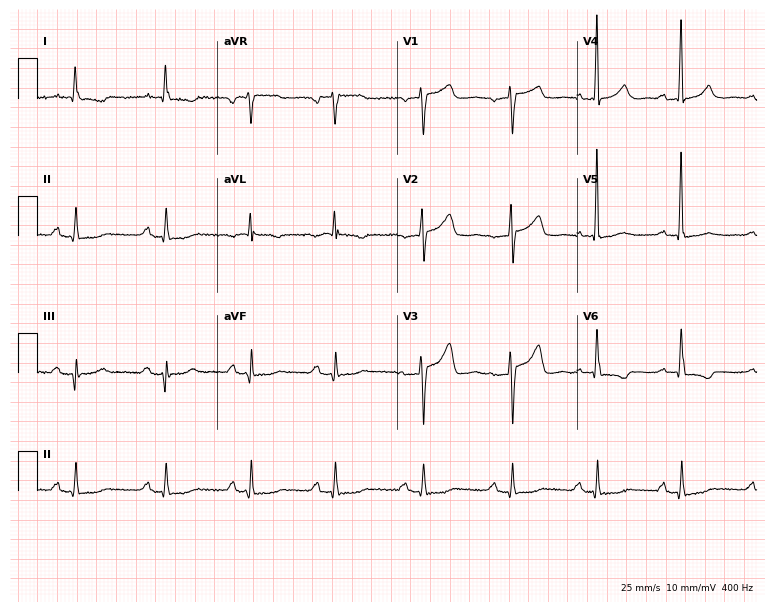
12-lead ECG from a 74-year-old female patient. Labelled as a normal ECG.